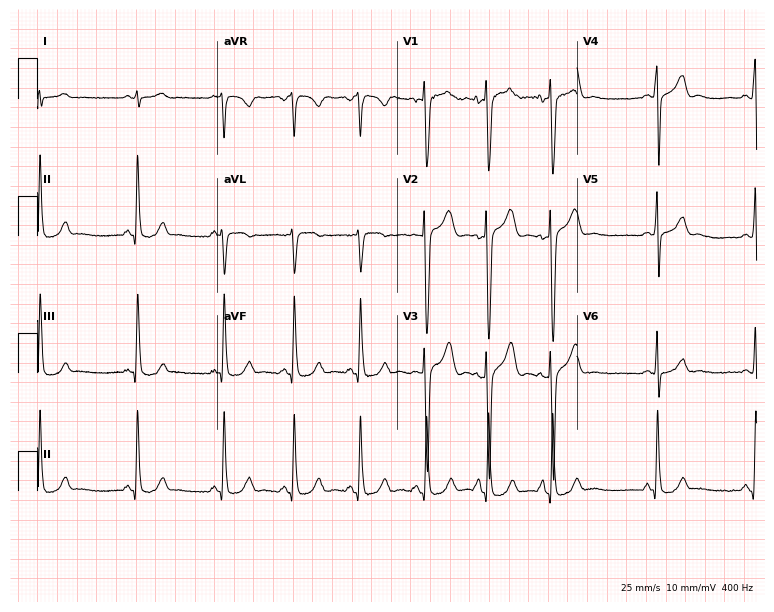
12-lead ECG from a 26-year-old male (7.3-second recording at 400 Hz). No first-degree AV block, right bundle branch block, left bundle branch block, sinus bradycardia, atrial fibrillation or sinus tachycardia recorded for this tracing. Findings outside these six are not listed.